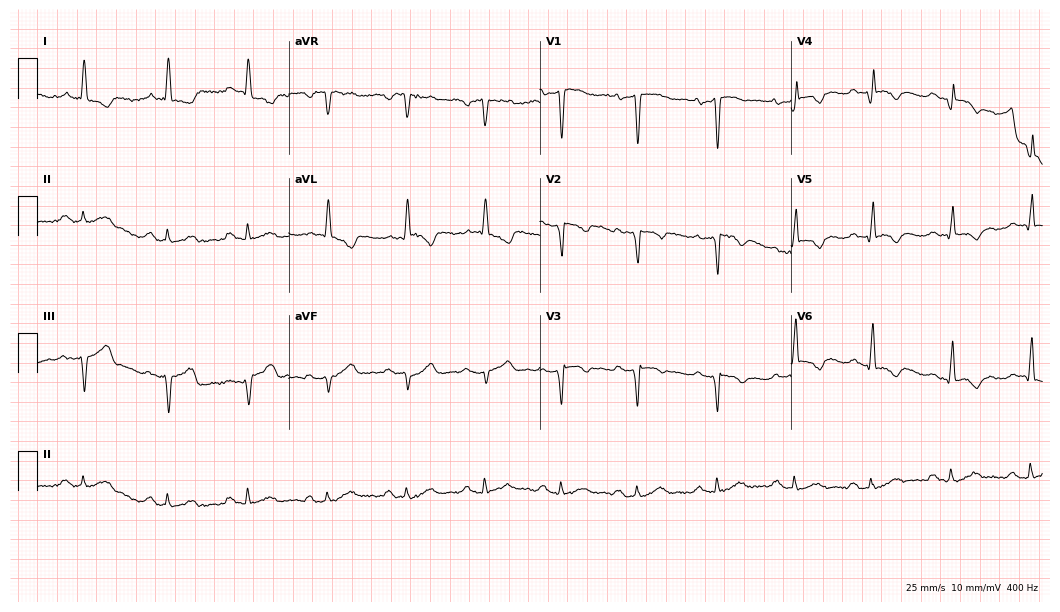
Electrocardiogram, a male patient, 70 years old. Overall reading on record: normal ECG.